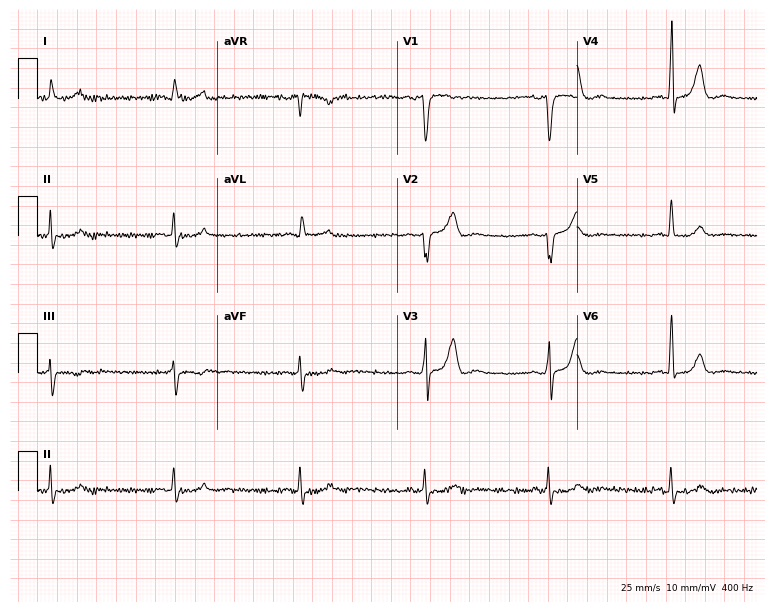
12-lead ECG from a male, 67 years old. Shows sinus bradycardia (a sinus rate of 50 beats per minute or less).